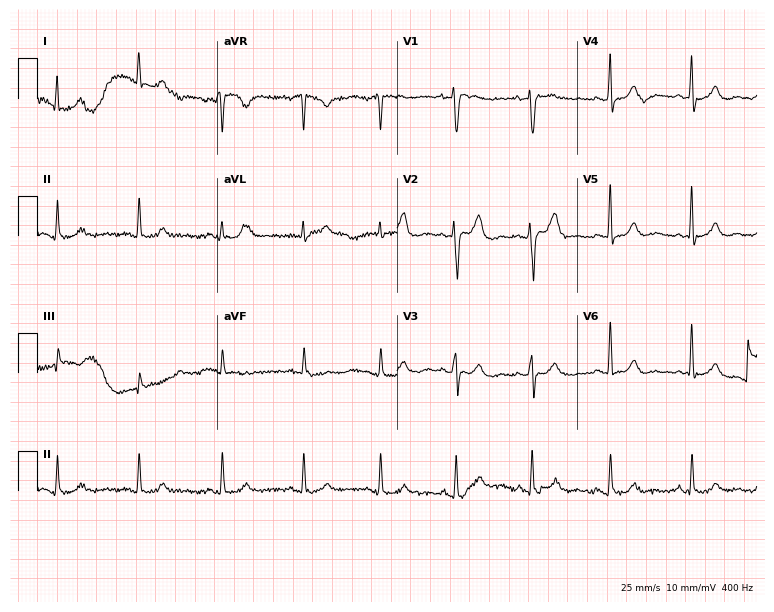
ECG — a 49-year-old female. Screened for six findings — first-degree AV block, right bundle branch block, left bundle branch block, sinus bradycardia, atrial fibrillation, sinus tachycardia — none is recorded.